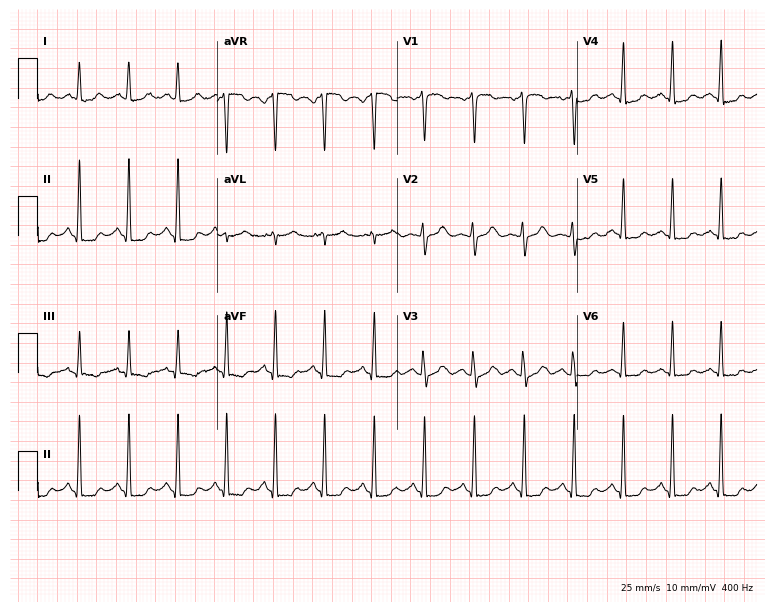
ECG (7.3-second recording at 400 Hz) — a 52-year-old female patient. Screened for six findings — first-degree AV block, right bundle branch block, left bundle branch block, sinus bradycardia, atrial fibrillation, sinus tachycardia — none is recorded.